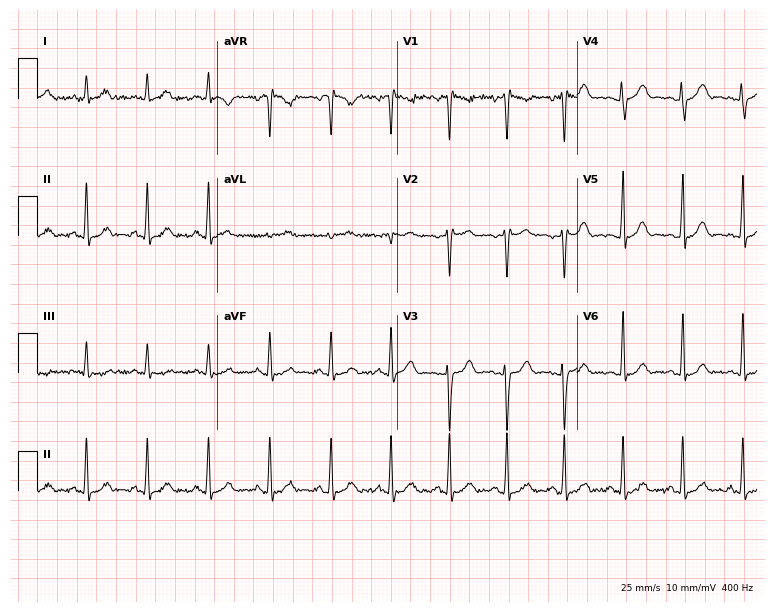
12-lead ECG (7.3-second recording at 400 Hz) from a female, 34 years old. Screened for six findings — first-degree AV block, right bundle branch block (RBBB), left bundle branch block (LBBB), sinus bradycardia, atrial fibrillation (AF), sinus tachycardia — none is recorded.